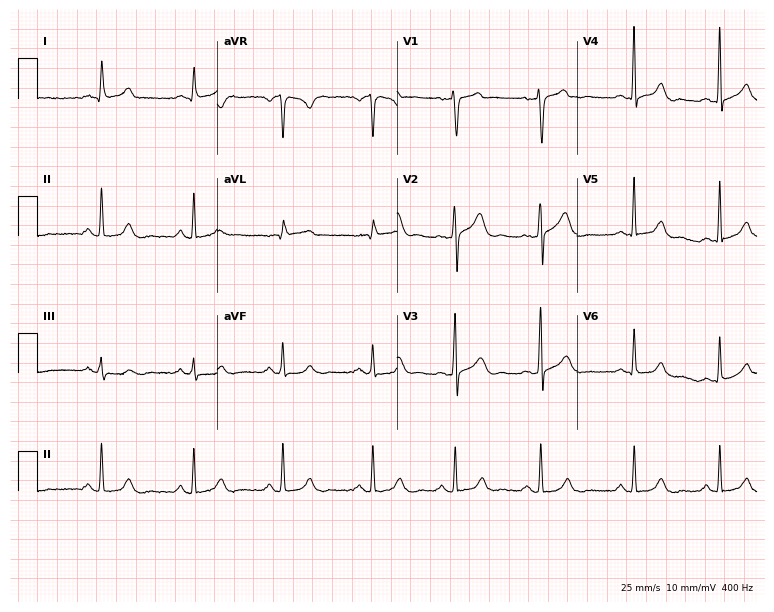
Standard 12-lead ECG recorded from a man, 46 years old (7.3-second recording at 400 Hz). Read as a normal ECG.